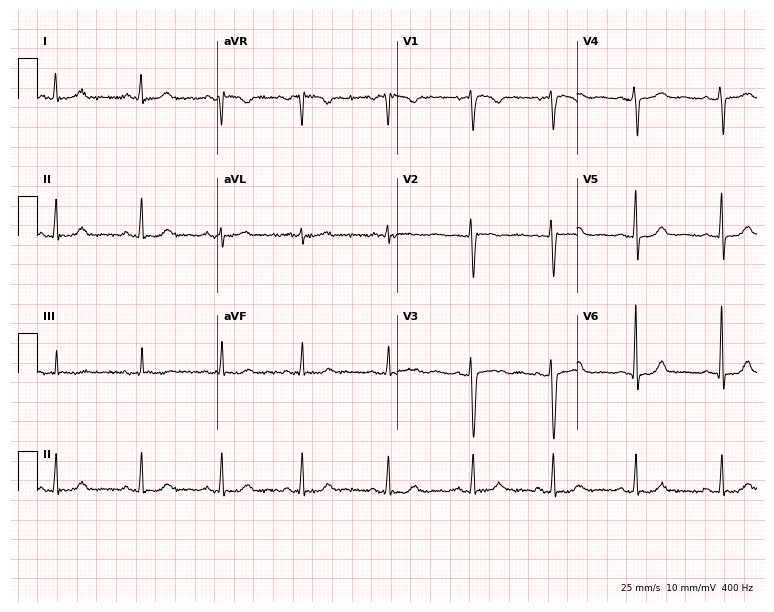
Resting 12-lead electrocardiogram. Patient: a woman, 35 years old. Read as a normal ECG.